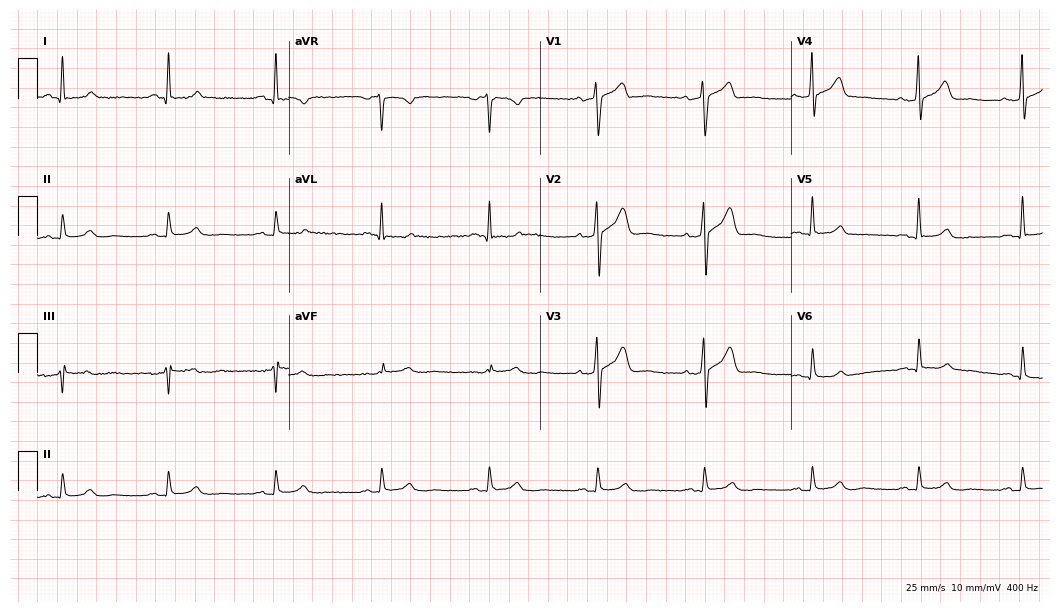
Standard 12-lead ECG recorded from a male patient, 63 years old (10.2-second recording at 400 Hz). Read as a normal ECG.